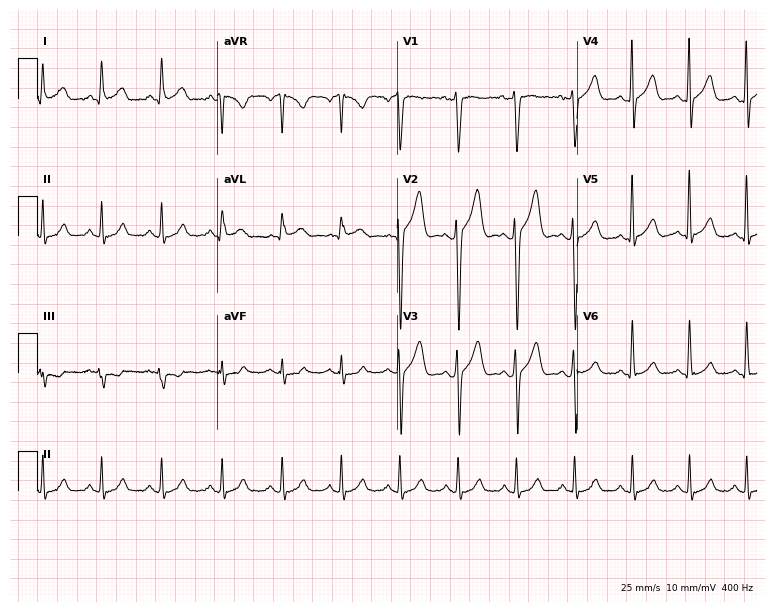
Electrocardiogram (7.3-second recording at 400 Hz), a man, 37 years old. Overall reading on record: normal ECG.